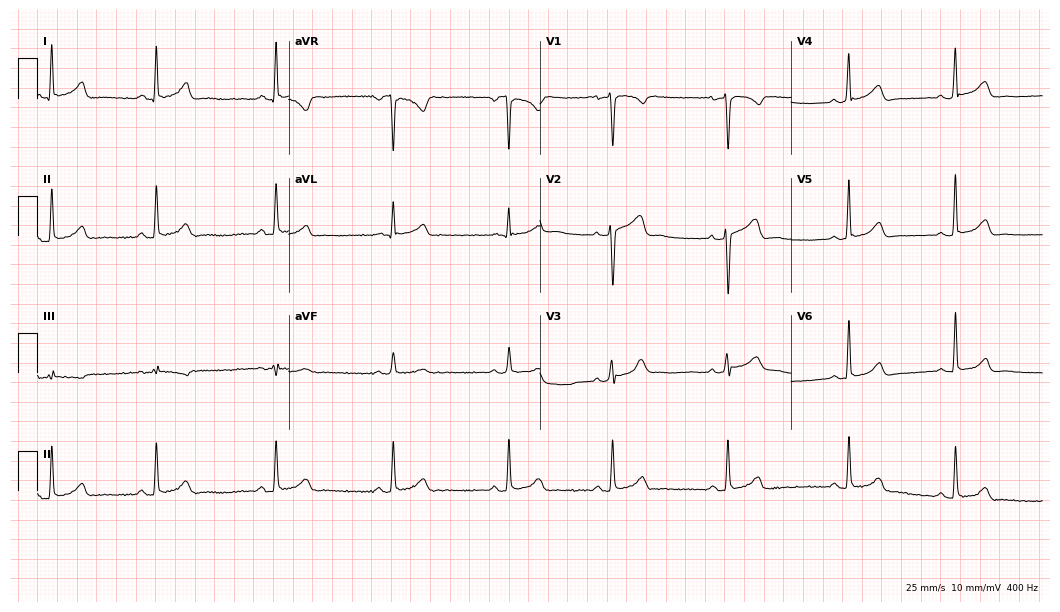
12-lead ECG from a 35-year-old woman. Labelled as a normal ECG.